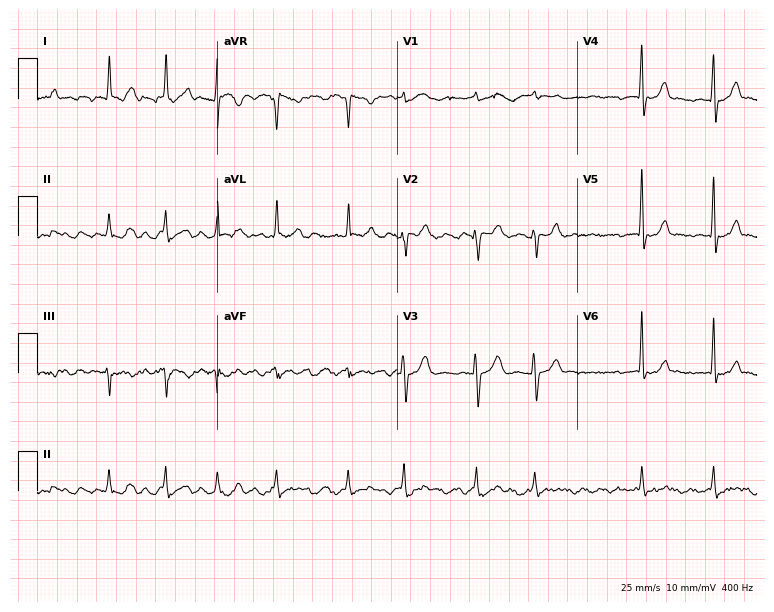
ECG (7.3-second recording at 400 Hz) — a 69-year-old woman. Findings include atrial fibrillation.